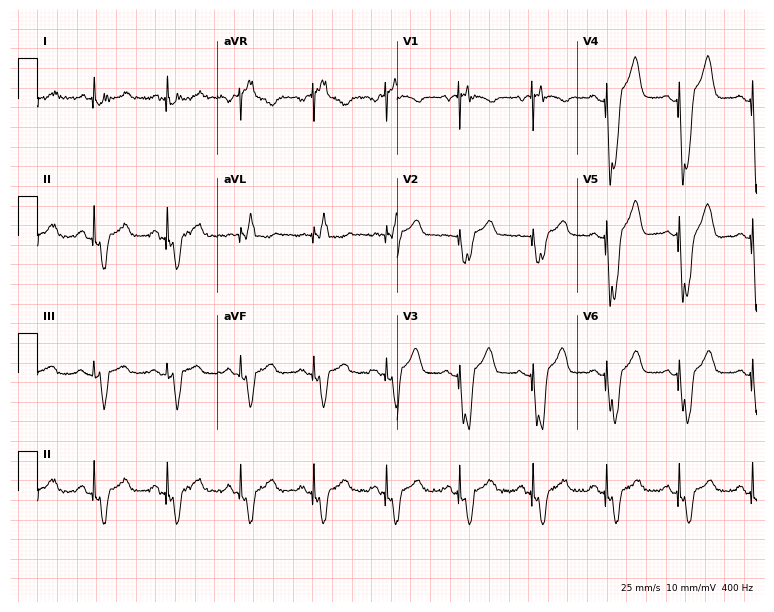
ECG — a 60-year-old female patient. Screened for six findings — first-degree AV block, right bundle branch block, left bundle branch block, sinus bradycardia, atrial fibrillation, sinus tachycardia — none is recorded. Only these six findings were labelled.